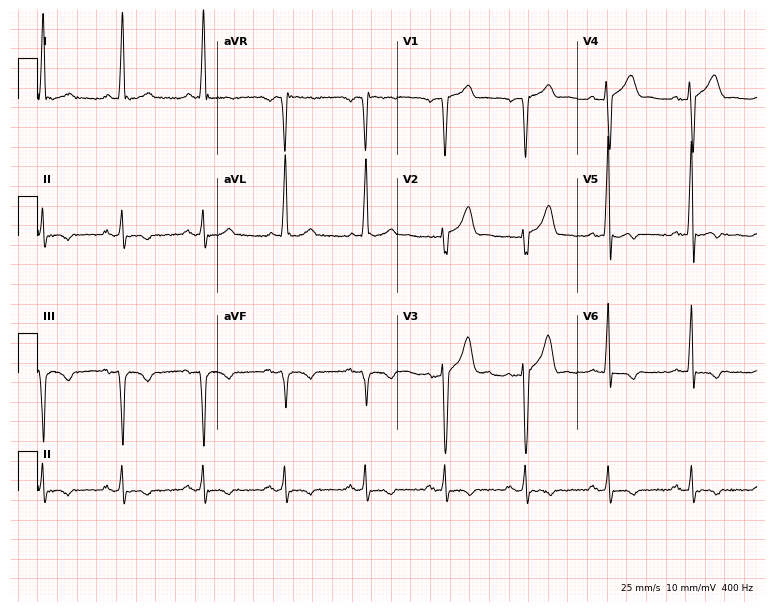
Electrocardiogram (7.3-second recording at 400 Hz), a 56-year-old male patient. Of the six screened findings (first-degree AV block, right bundle branch block (RBBB), left bundle branch block (LBBB), sinus bradycardia, atrial fibrillation (AF), sinus tachycardia), none is recorded. Only these six findings were labelled.